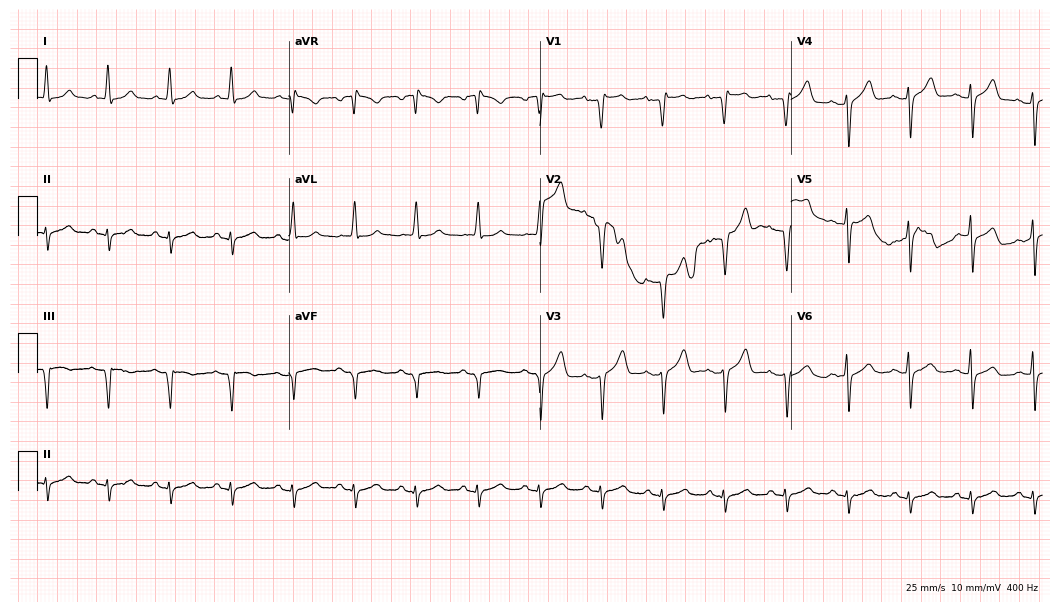
Standard 12-lead ECG recorded from a man, 80 years old (10.2-second recording at 400 Hz). None of these six findings is recorded: first-degree AV block, right bundle branch block, left bundle branch block, sinus bradycardia, atrial fibrillation, sinus tachycardia. Other findings, if any, are not listed.